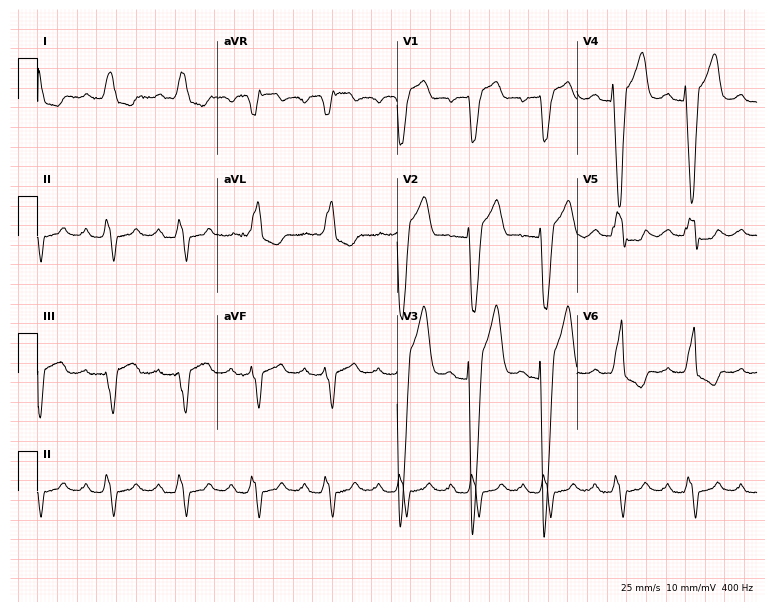
Standard 12-lead ECG recorded from a female, 74 years old (7.3-second recording at 400 Hz). The tracing shows first-degree AV block, left bundle branch block (LBBB).